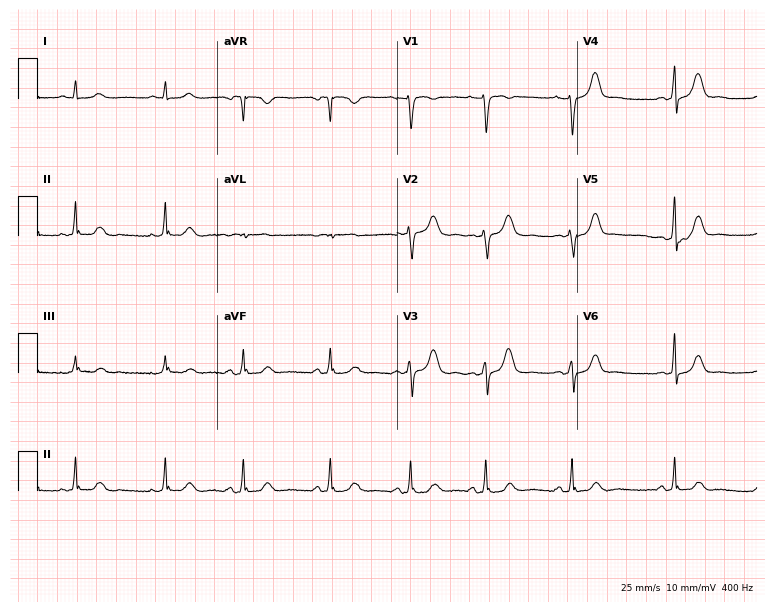
Standard 12-lead ECG recorded from a female, 35 years old. None of these six findings is recorded: first-degree AV block, right bundle branch block, left bundle branch block, sinus bradycardia, atrial fibrillation, sinus tachycardia. Only these six findings were labelled.